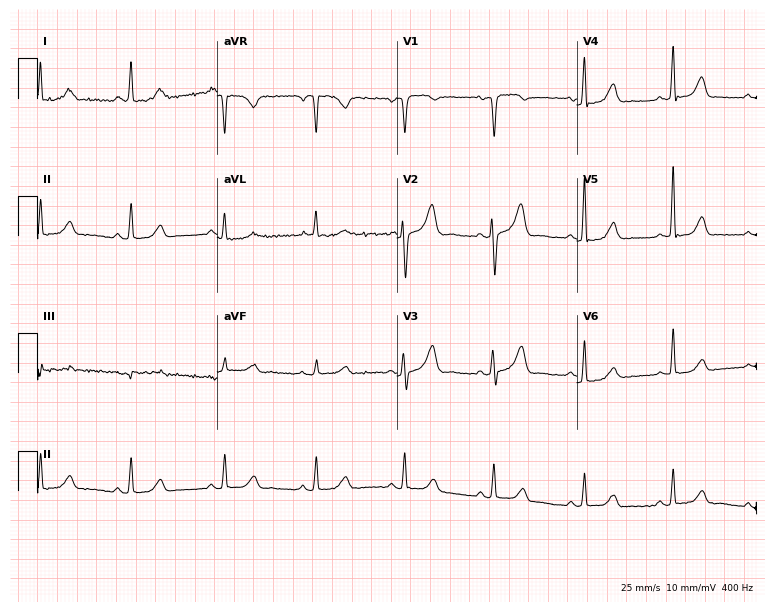
12-lead ECG from a female patient, 75 years old (7.3-second recording at 400 Hz). No first-degree AV block, right bundle branch block, left bundle branch block, sinus bradycardia, atrial fibrillation or sinus tachycardia recorded for this tracing. Other findings, if any, are not listed.